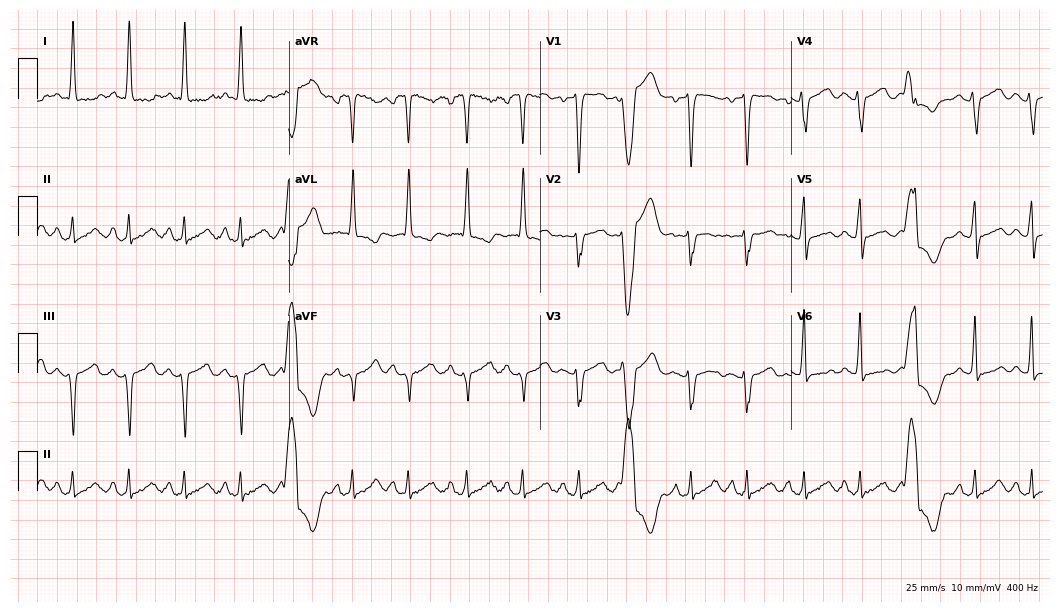
12-lead ECG (10.2-second recording at 400 Hz) from a 55-year-old woman. Findings include sinus tachycardia (a sinus rate of 100 beats per minute or more).